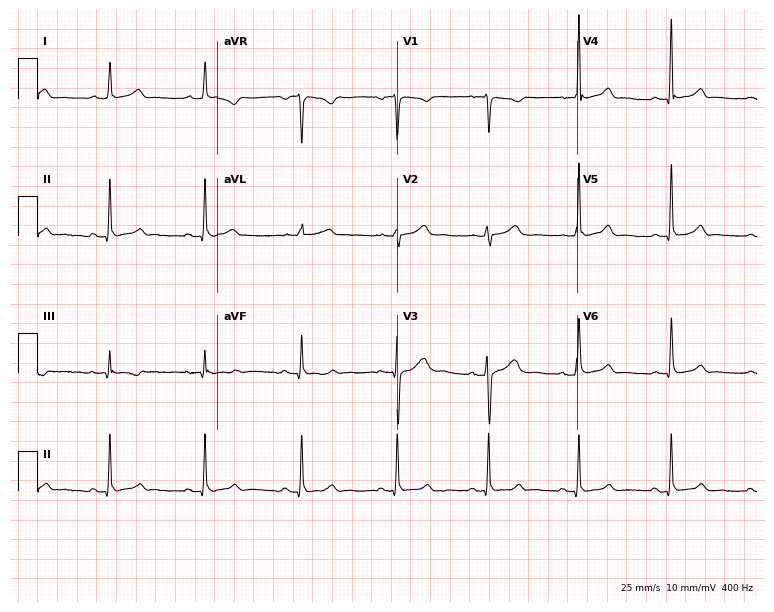
Electrocardiogram (7.3-second recording at 400 Hz), a 45-year-old woman. Of the six screened findings (first-degree AV block, right bundle branch block, left bundle branch block, sinus bradycardia, atrial fibrillation, sinus tachycardia), none is recorded. Other findings, if any, are not listed.